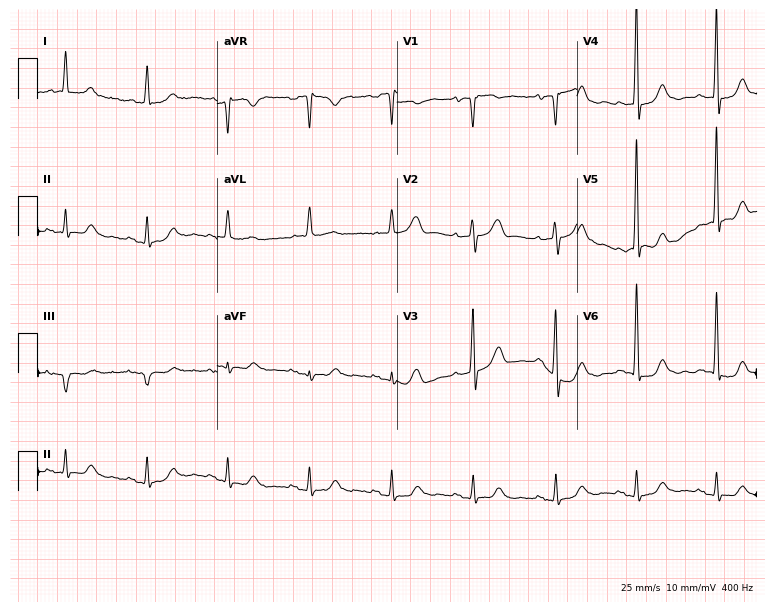
ECG — an 80-year-old male. Screened for six findings — first-degree AV block, right bundle branch block, left bundle branch block, sinus bradycardia, atrial fibrillation, sinus tachycardia — none is recorded.